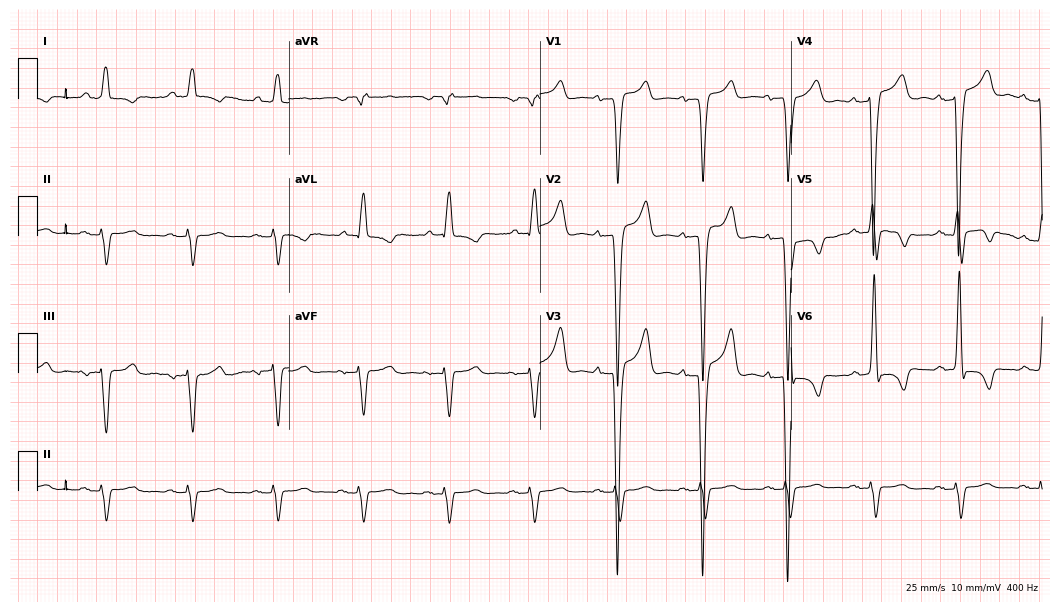
ECG — a male patient, 63 years old. Findings include left bundle branch block.